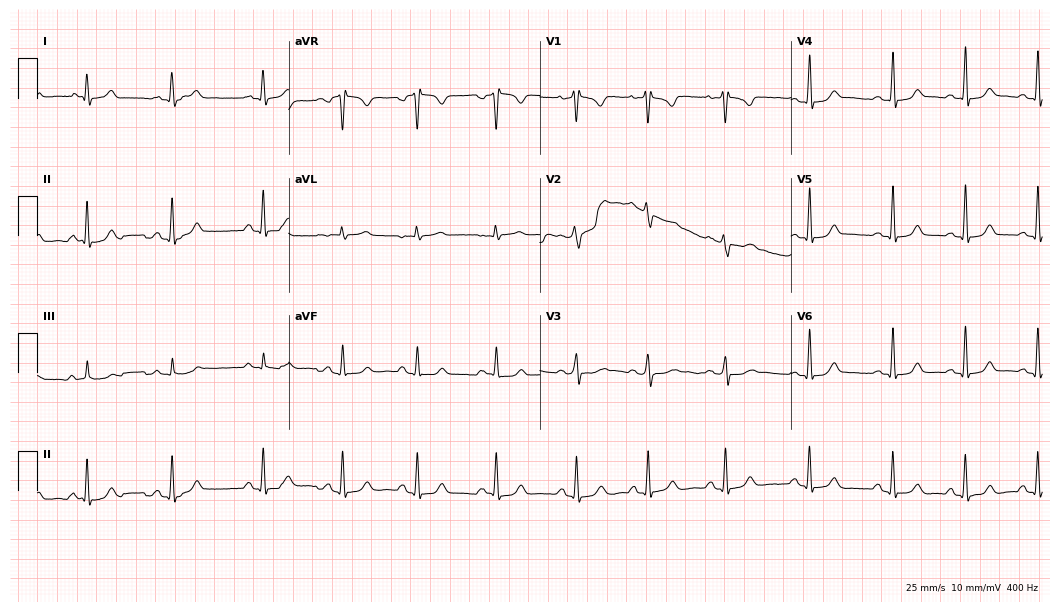
Electrocardiogram (10.2-second recording at 400 Hz), a female patient, 25 years old. Of the six screened findings (first-degree AV block, right bundle branch block (RBBB), left bundle branch block (LBBB), sinus bradycardia, atrial fibrillation (AF), sinus tachycardia), none is recorded.